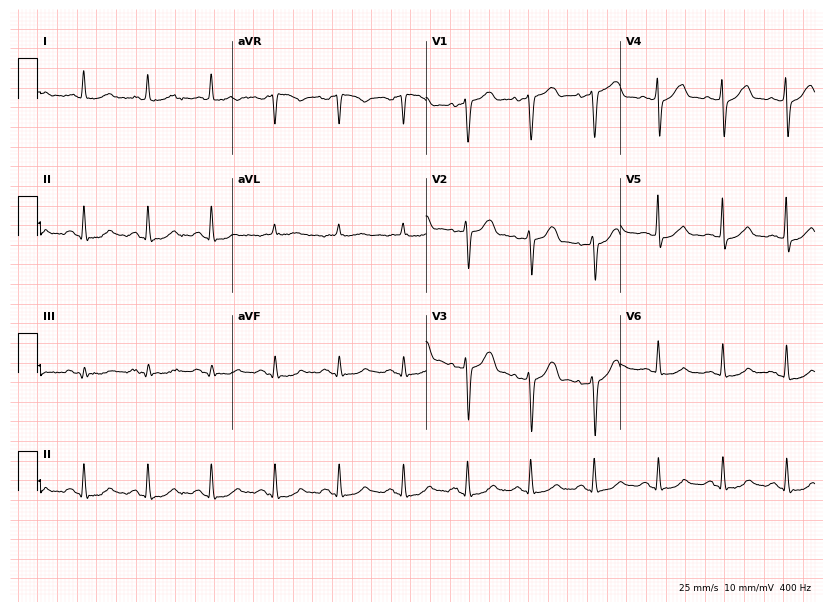
Standard 12-lead ECG recorded from a female, 85 years old. None of these six findings is recorded: first-degree AV block, right bundle branch block (RBBB), left bundle branch block (LBBB), sinus bradycardia, atrial fibrillation (AF), sinus tachycardia. Findings outside these six are not listed.